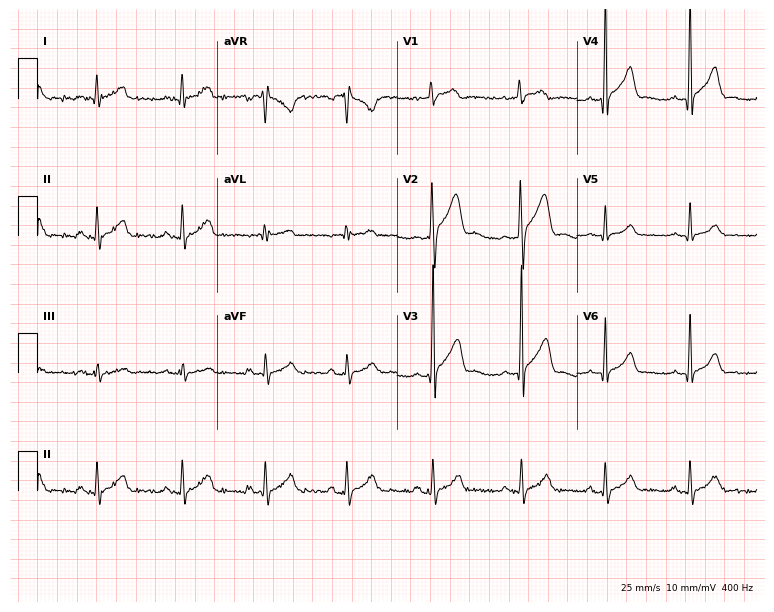
12-lead ECG from a 31-year-old male patient (7.3-second recording at 400 Hz). Recorded interpretation: within normal limits.